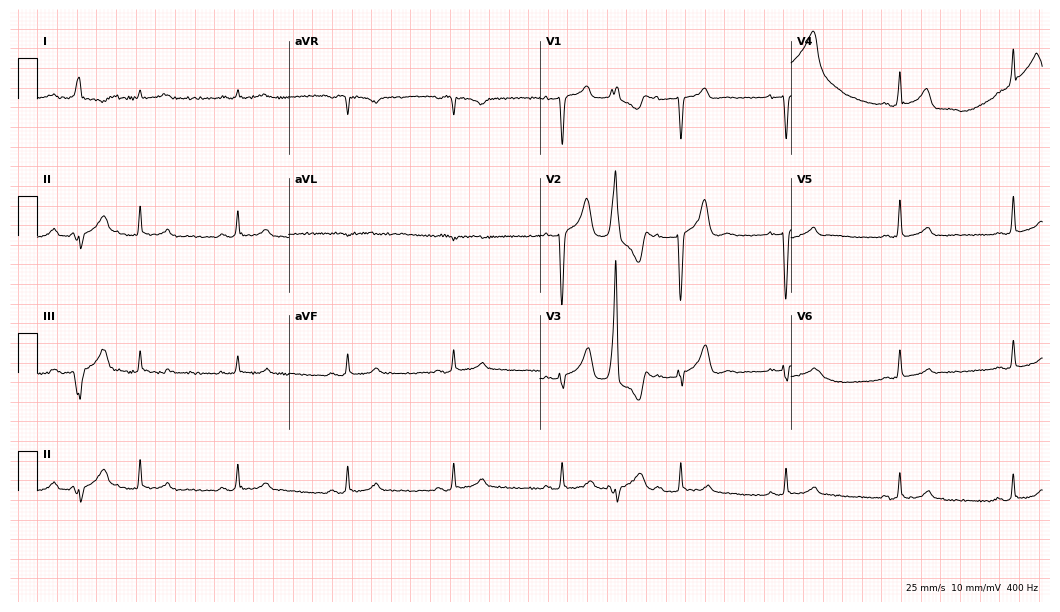
ECG (10.2-second recording at 400 Hz) — a 51-year-old woman. Screened for six findings — first-degree AV block, right bundle branch block, left bundle branch block, sinus bradycardia, atrial fibrillation, sinus tachycardia — none is recorded.